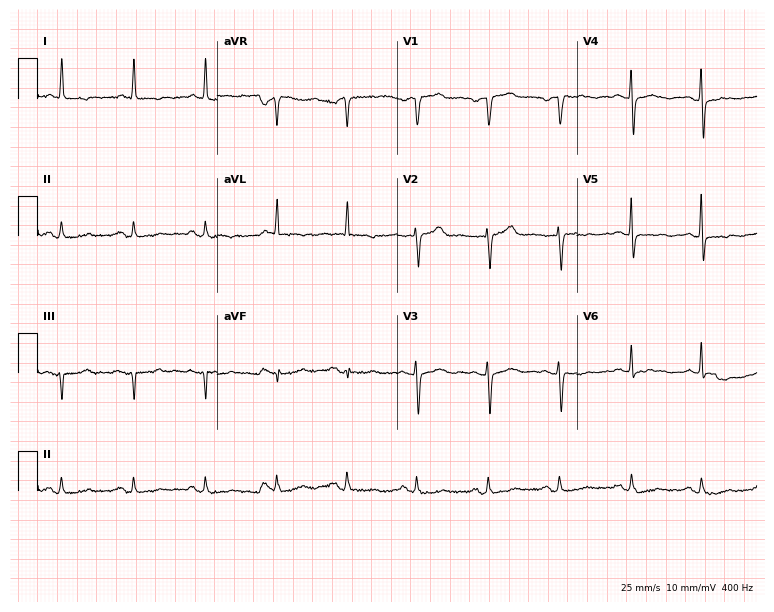
12-lead ECG from a 68-year-old female. No first-degree AV block, right bundle branch block, left bundle branch block, sinus bradycardia, atrial fibrillation or sinus tachycardia recorded for this tracing. Findings outside these six are not listed.